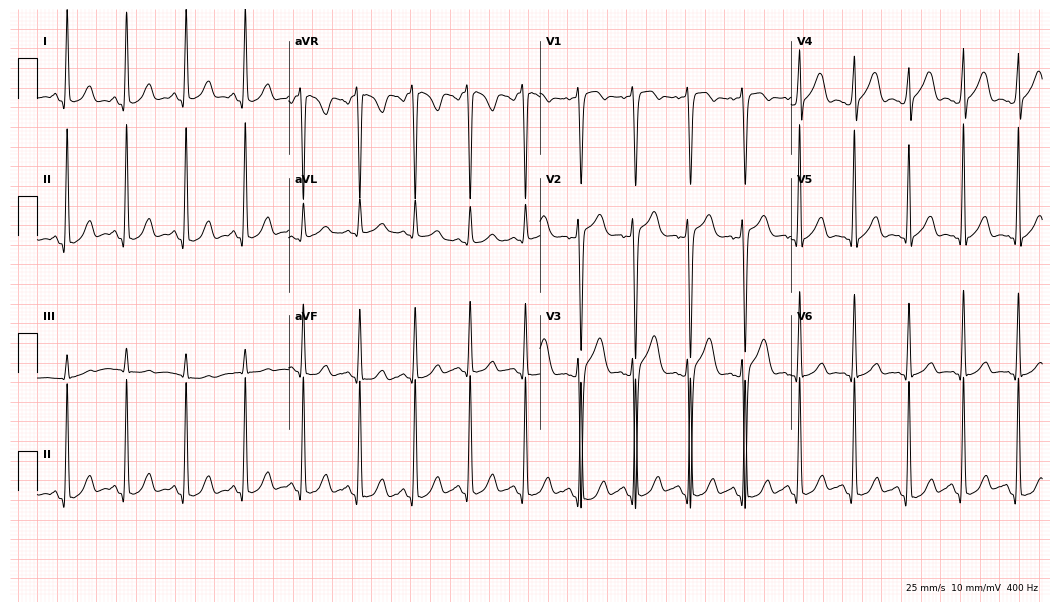
12-lead ECG (10.2-second recording at 400 Hz) from a 28-year-old man. Findings include sinus tachycardia (a sinus rate of 100 beats per minute or more).